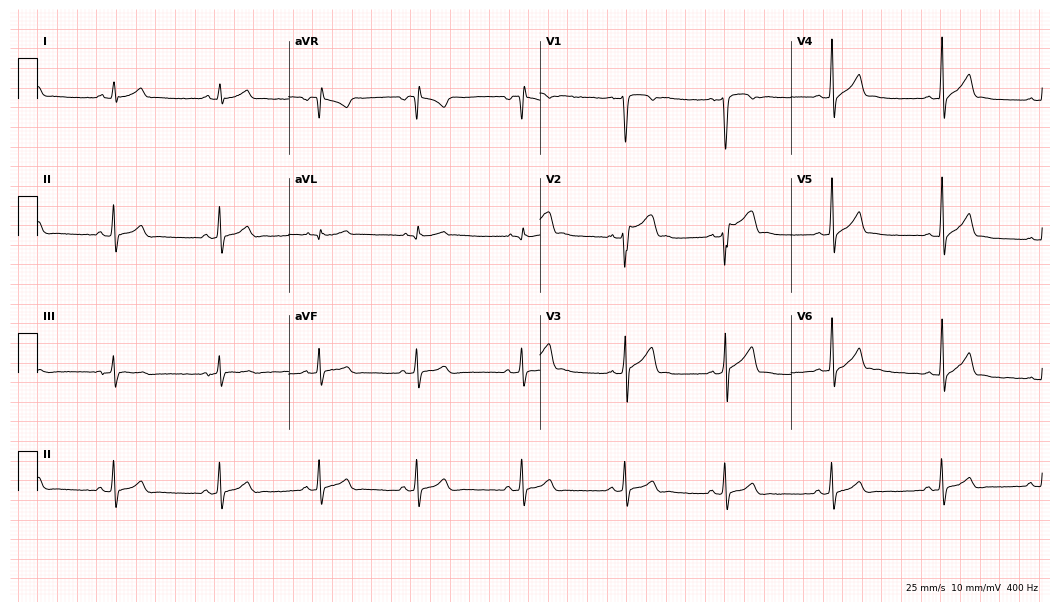
12-lead ECG from a 21-year-old man. Screened for six findings — first-degree AV block, right bundle branch block (RBBB), left bundle branch block (LBBB), sinus bradycardia, atrial fibrillation (AF), sinus tachycardia — none is recorded.